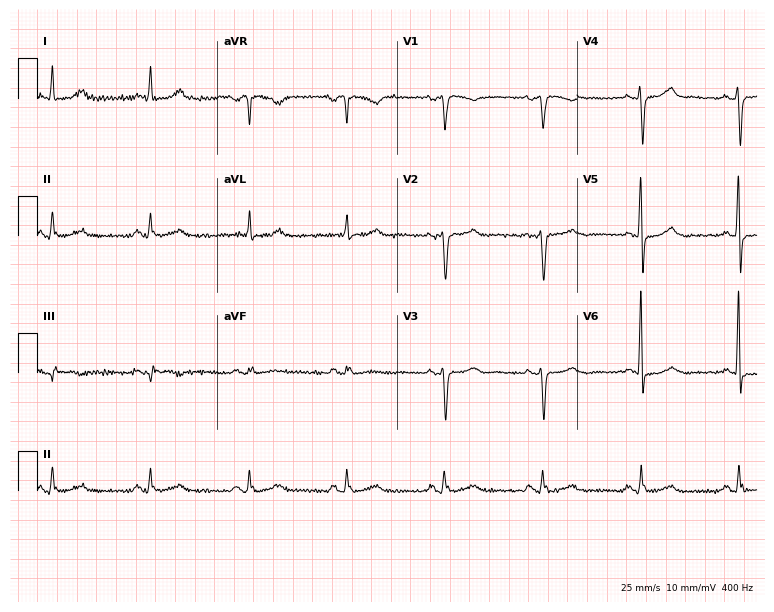
12-lead ECG from a 74-year-old female patient. Recorded interpretation: within normal limits.